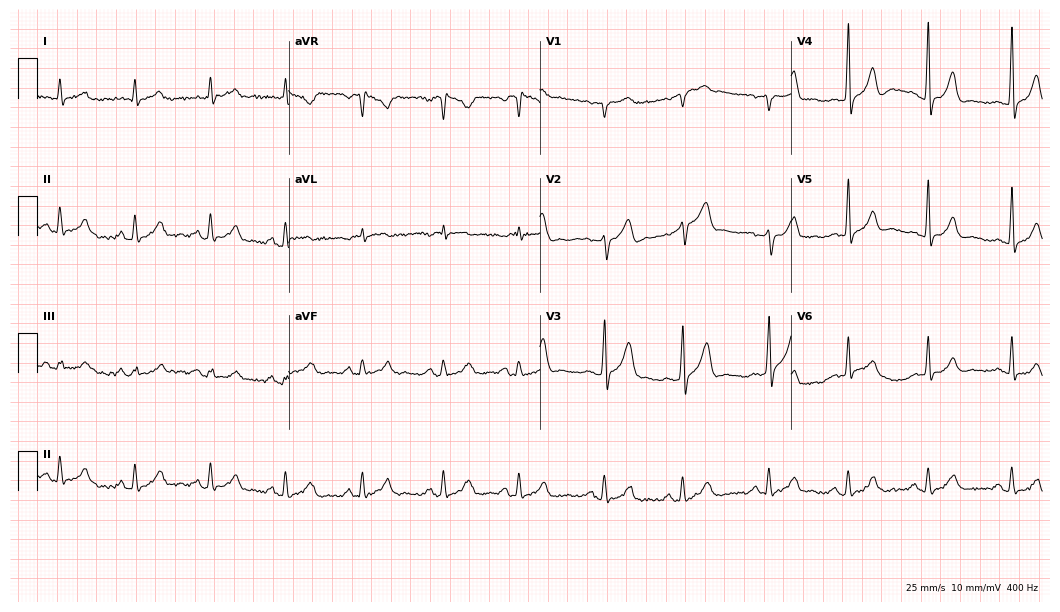
ECG — a 63-year-old male patient. Labelled as a normal ECG.